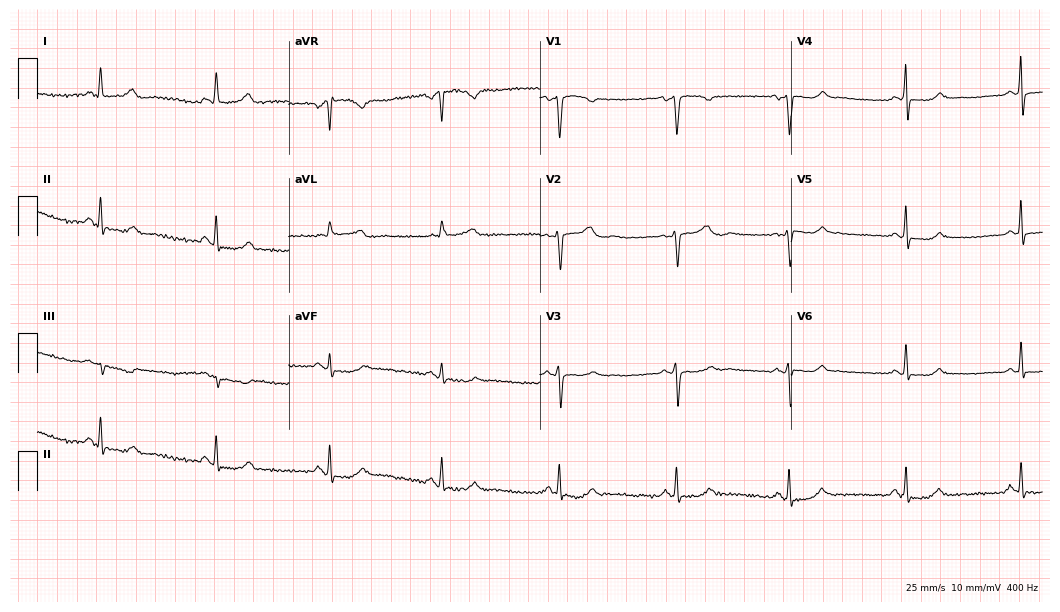
ECG — a female patient, 56 years old. Screened for six findings — first-degree AV block, right bundle branch block, left bundle branch block, sinus bradycardia, atrial fibrillation, sinus tachycardia — none is recorded. Other findings, if any, are not listed.